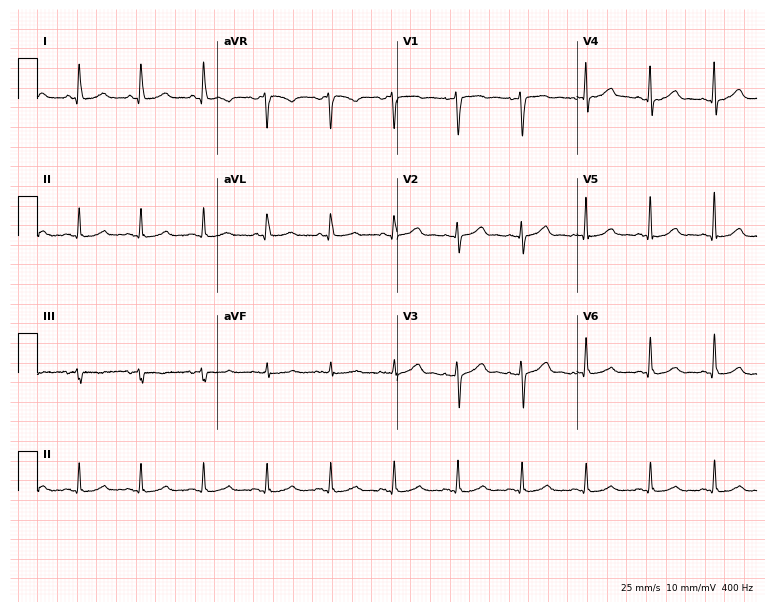
Resting 12-lead electrocardiogram. Patient: a 57-year-old female. None of these six findings is recorded: first-degree AV block, right bundle branch block, left bundle branch block, sinus bradycardia, atrial fibrillation, sinus tachycardia. Other findings, if any, are not listed.